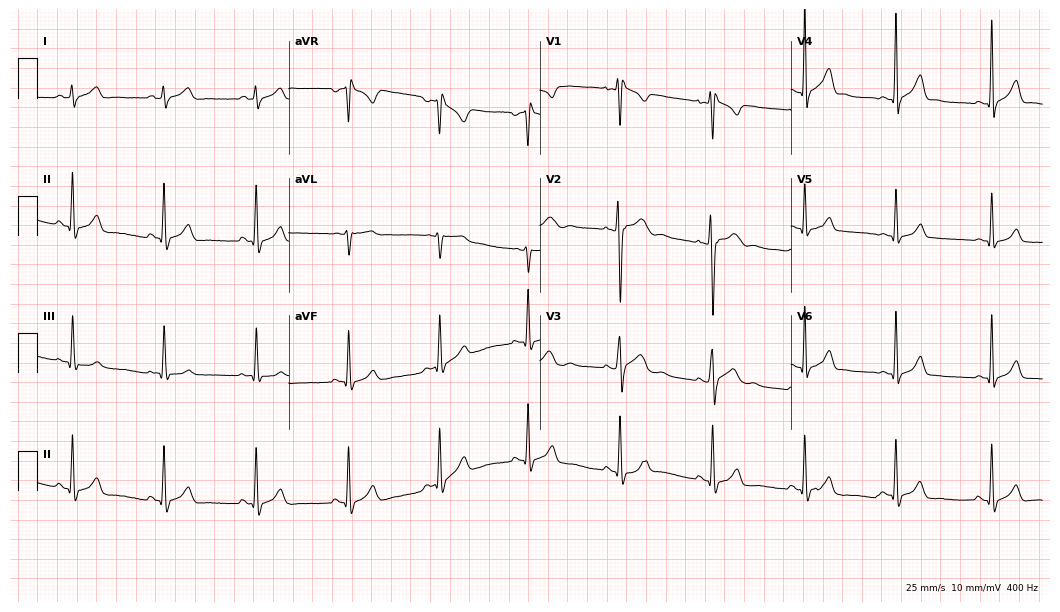
Standard 12-lead ECG recorded from a man, 21 years old (10.2-second recording at 400 Hz). None of these six findings is recorded: first-degree AV block, right bundle branch block, left bundle branch block, sinus bradycardia, atrial fibrillation, sinus tachycardia.